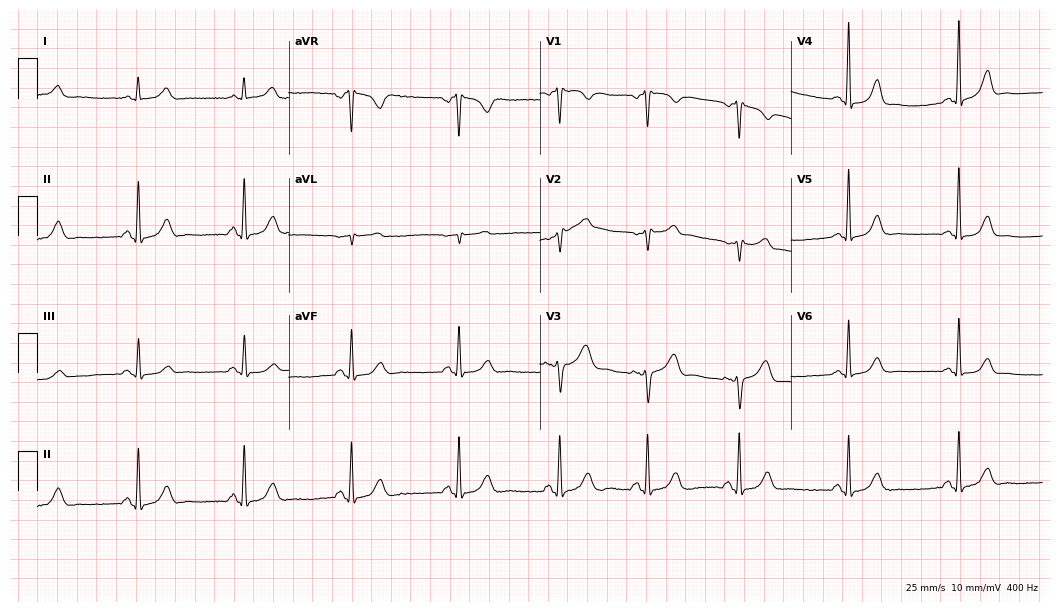
12-lead ECG from a 60-year-old female. Recorded interpretation: within normal limits.